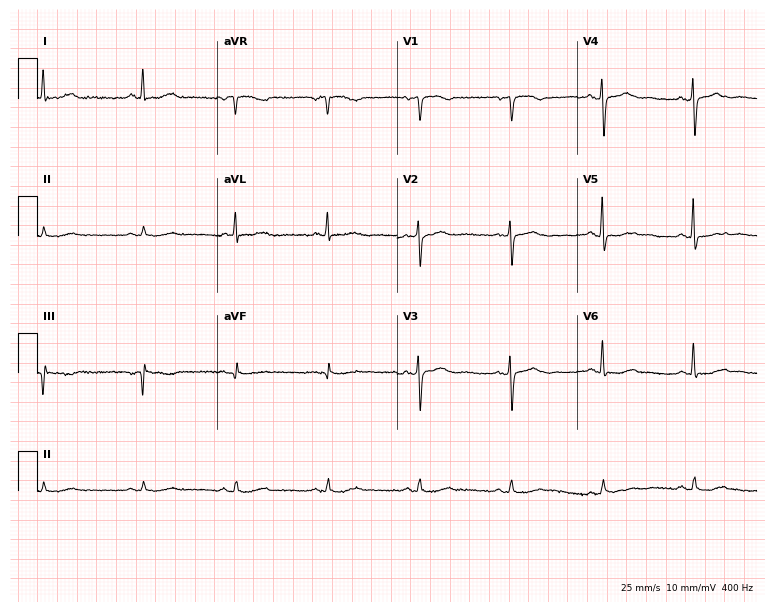
12-lead ECG from a 67-year-old female. Screened for six findings — first-degree AV block, right bundle branch block (RBBB), left bundle branch block (LBBB), sinus bradycardia, atrial fibrillation (AF), sinus tachycardia — none is recorded.